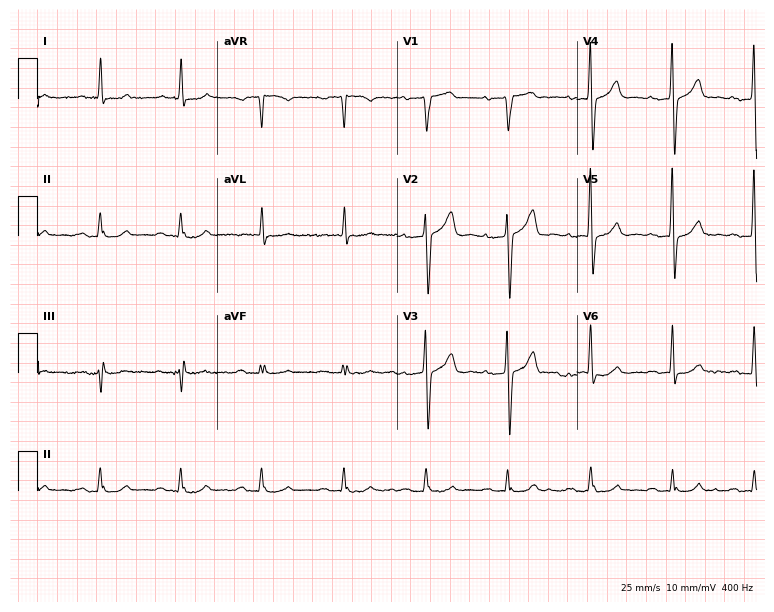
ECG (7.3-second recording at 400 Hz) — a 72-year-old male patient. Labelled as a normal ECG.